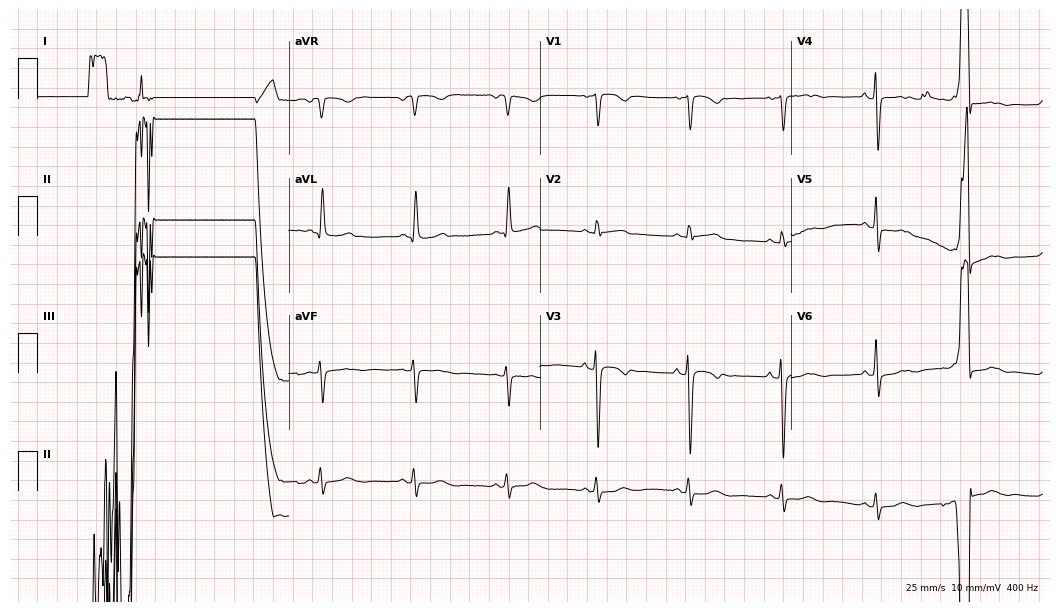
ECG (10.2-second recording at 400 Hz) — a 78-year-old female. Screened for six findings — first-degree AV block, right bundle branch block (RBBB), left bundle branch block (LBBB), sinus bradycardia, atrial fibrillation (AF), sinus tachycardia — none is recorded. Other findings, if any, are not listed.